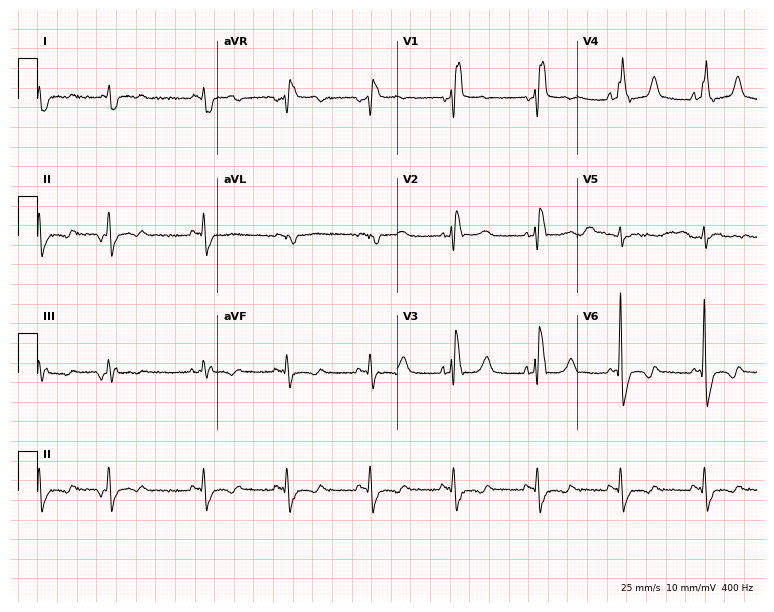
12-lead ECG from a 69-year-old male patient. Screened for six findings — first-degree AV block, right bundle branch block, left bundle branch block, sinus bradycardia, atrial fibrillation, sinus tachycardia — none is recorded. Only these six findings were labelled.